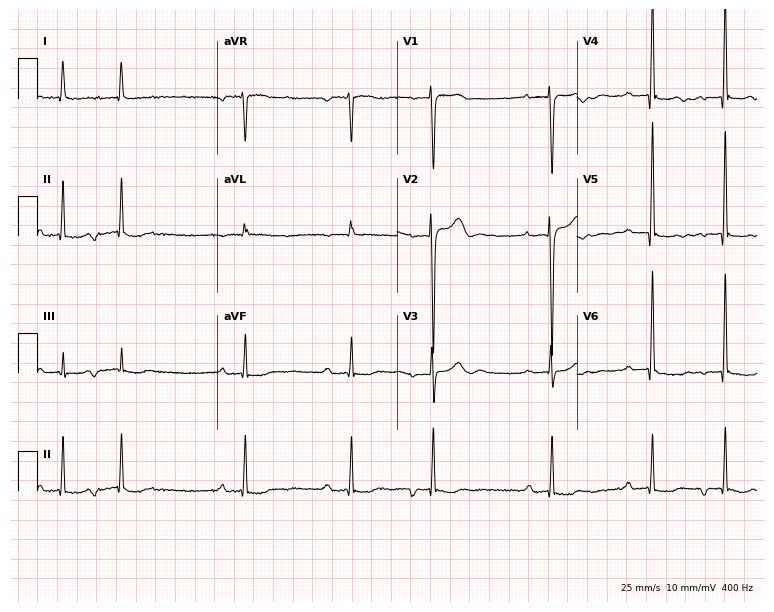
Resting 12-lead electrocardiogram (7.3-second recording at 400 Hz). Patient: an 84-year-old woman. None of these six findings is recorded: first-degree AV block, right bundle branch block, left bundle branch block, sinus bradycardia, atrial fibrillation, sinus tachycardia.